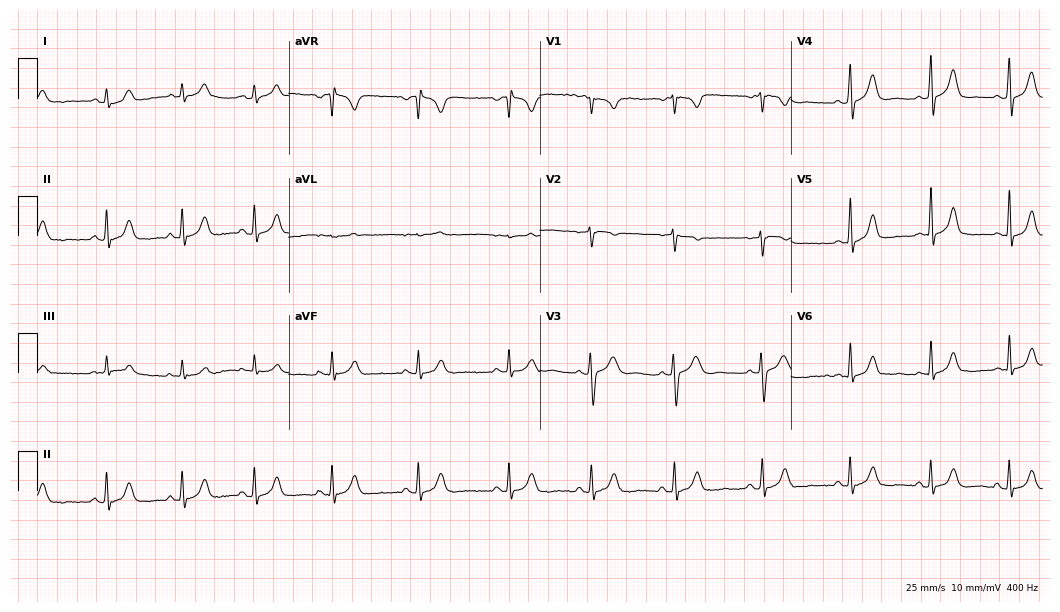
ECG (10.2-second recording at 400 Hz) — a 26-year-old female. Screened for six findings — first-degree AV block, right bundle branch block (RBBB), left bundle branch block (LBBB), sinus bradycardia, atrial fibrillation (AF), sinus tachycardia — none is recorded. Other findings, if any, are not listed.